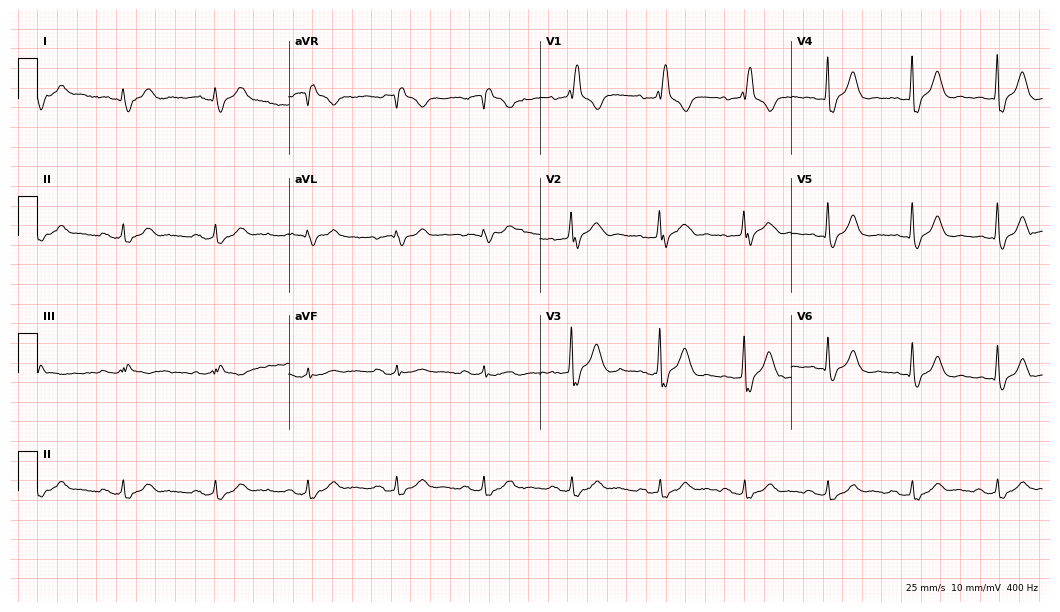
Electrocardiogram (10.2-second recording at 400 Hz), a male, 58 years old. Interpretation includes right bundle branch block (RBBB).